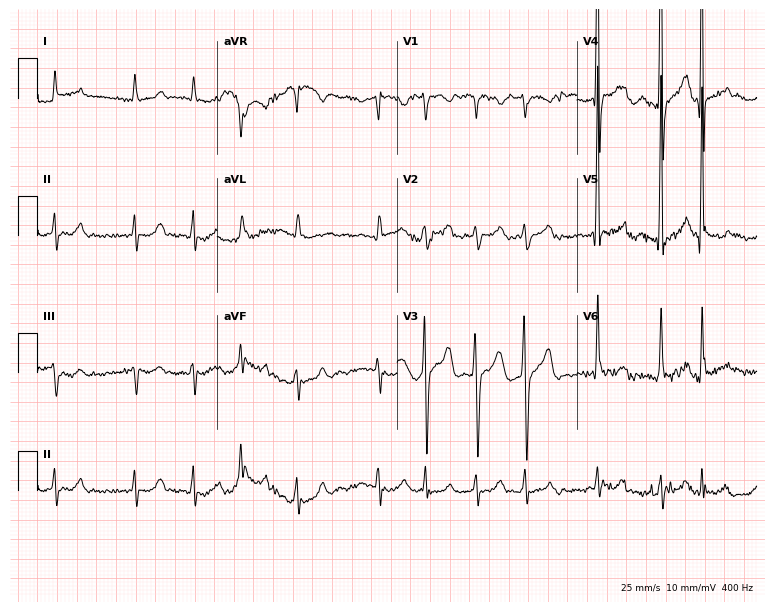
12-lead ECG (7.3-second recording at 400 Hz) from a 69-year-old man. Screened for six findings — first-degree AV block, right bundle branch block, left bundle branch block, sinus bradycardia, atrial fibrillation, sinus tachycardia — none is recorded.